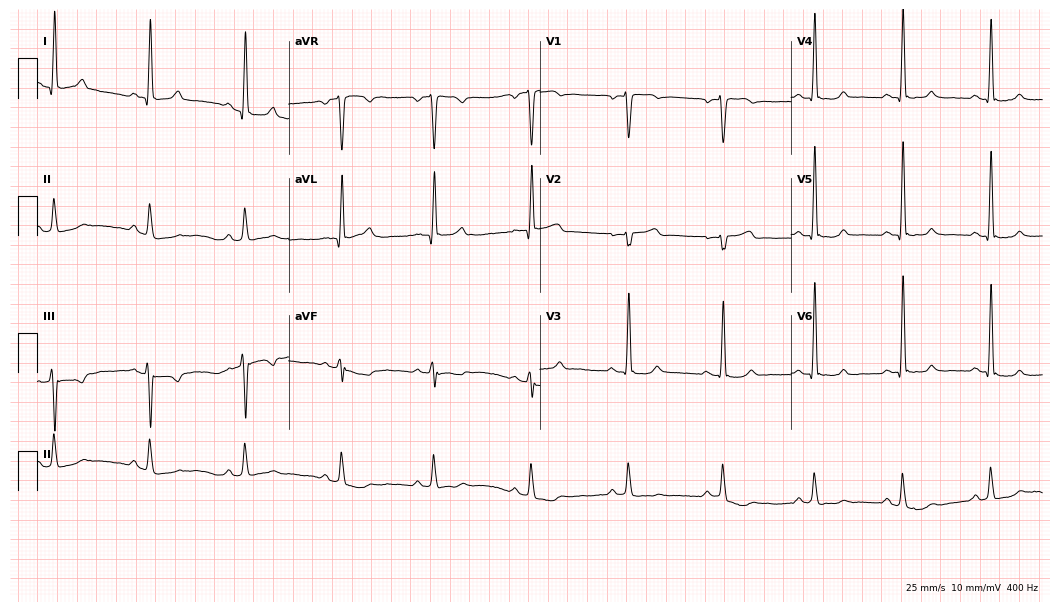
12-lead ECG (10.2-second recording at 400 Hz) from a man, 43 years old. Screened for six findings — first-degree AV block, right bundle branch block, left bundle branch block, sinus bradycardia, atrial fibrillation, sinus tachycardia — none is recorded. Findings outside these six are not listed.